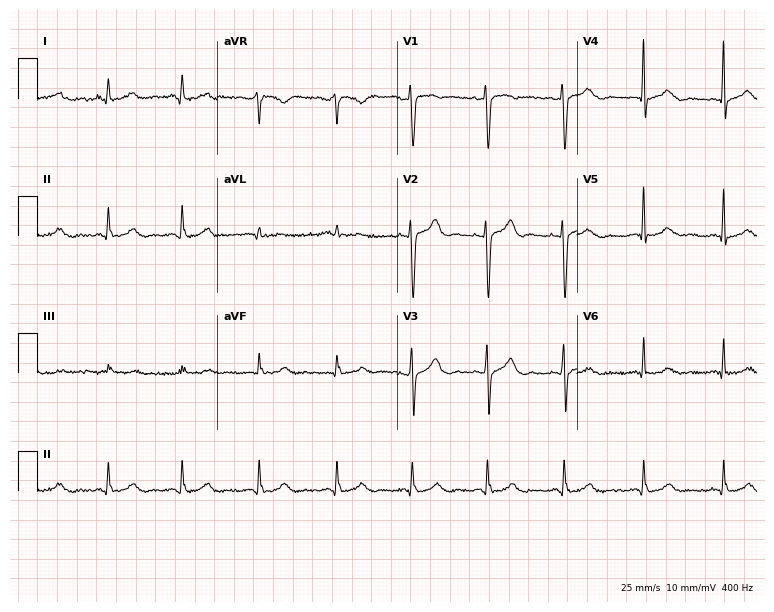
Standard 12-lead ECG recorded from a 30-year-old female patient. Read as a normal ECG.